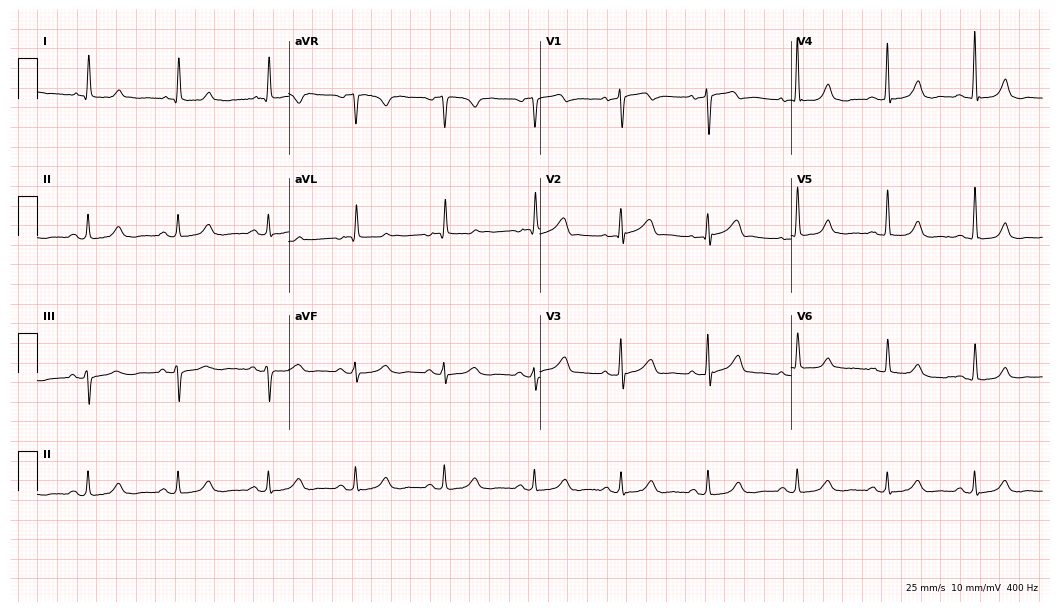
Standard 12-lead ECG recorded from a female patient, 73 years old. Read as a normal ECG.